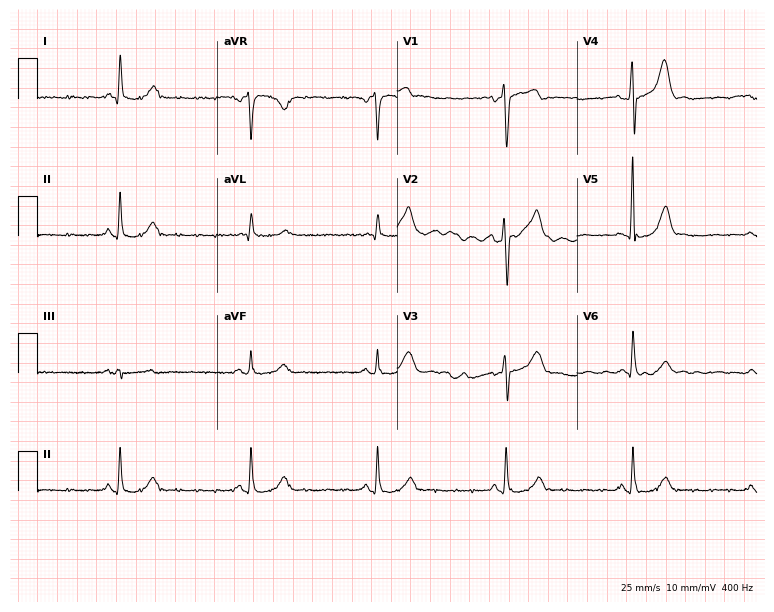
Electrocardiogram, a 59-year-old man. Interpretation includes sinus bradycardia (a sinus rate of 50 beats per minute or less).